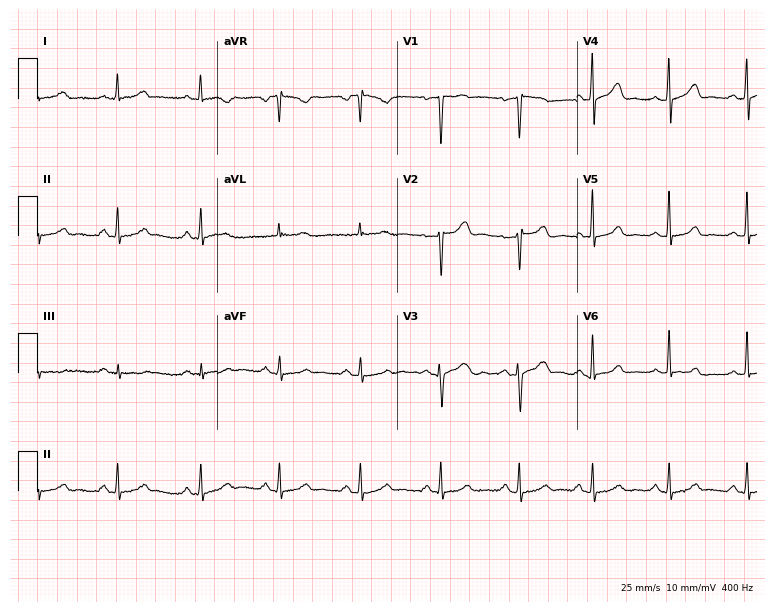
12-lead ECG from a 36-year-old female. No first-degree AV block, right bundle branch block (RBBB), left bundle branch block (LBBB), sinus bradycardia, atrial fibrillation (AF) or sinus tachycardia recorded for this tracing. Only these six findings were labelled.